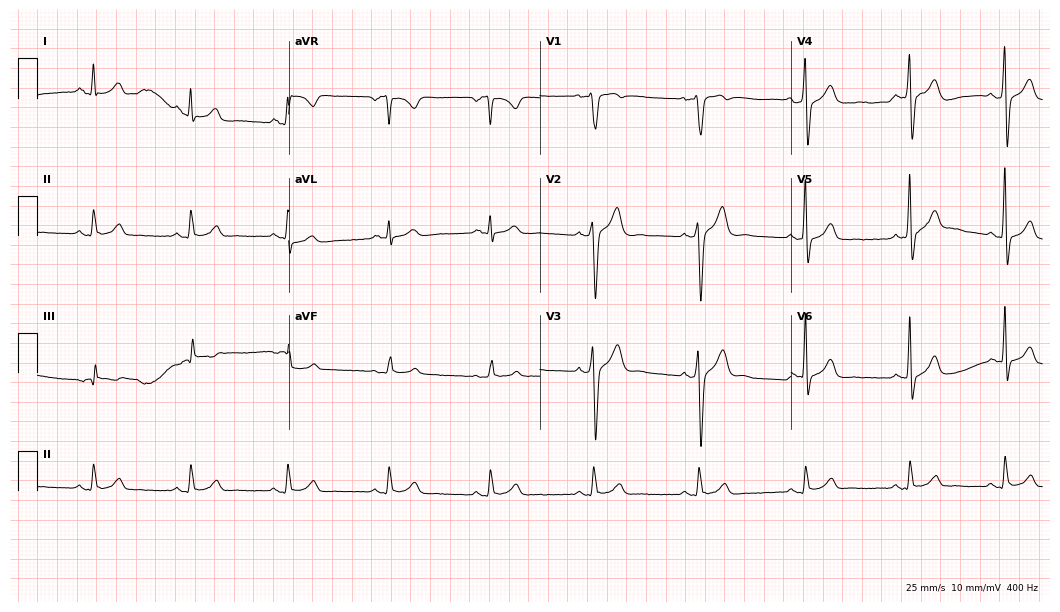
Electrocardiogram (10.2-second recording at 400 Hz), a male patient, 39 years old. Of the six screened findings (first-degree AV block, right bundle branch block, left bundle branch block, sinus bradycardia, atrial fibrillation, sinus tachycardia), none is recorded.